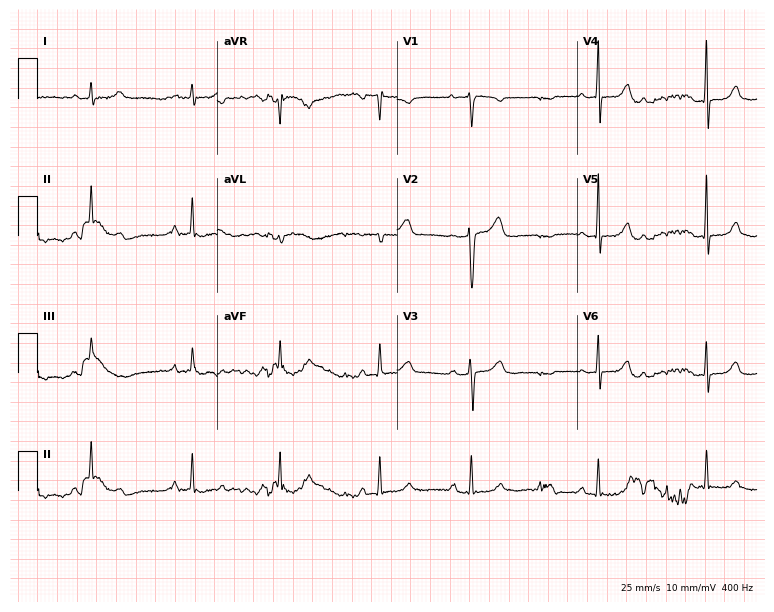
ECG (7.3-second recording at 400 Hz) — a 46-year-old female patient. Screened for six findings — first-degree AV block, right bundle branch block, left bundle branch block, sinus bradycardia, atrial fibrillation, sinus tachycardia — none is recorded.